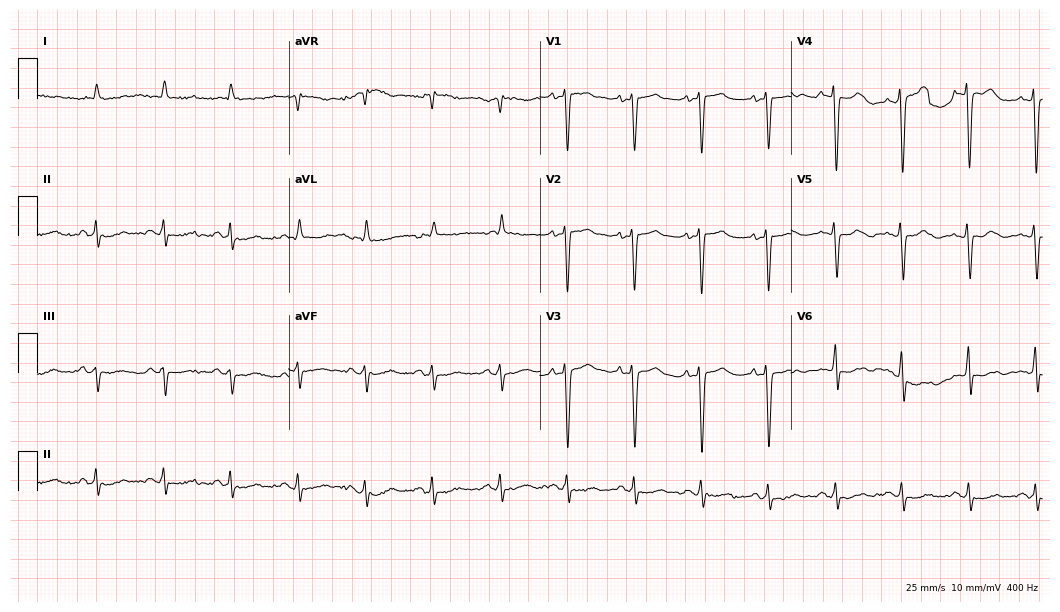
Standard 12-lead ECG recorded from a male, 67 years old (10.2-second recording at 400 Hz). None of these six findings is recorded: first-degree AV block, right bundle branch block, left bundle branch block, sinus bradycardia, atrial fibrillation, sinus tachycardia. Only these six findings were labelled.